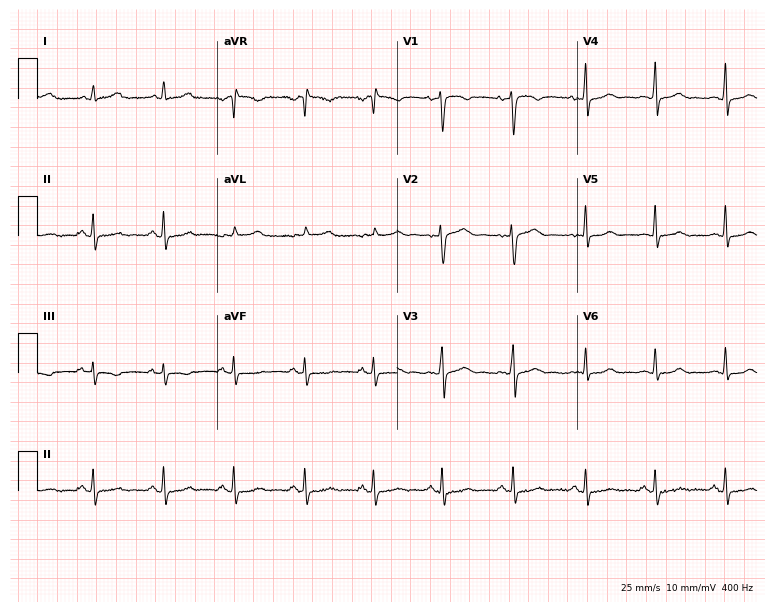
Resting 12-lead electrocardiogram (7.3-second recording at 400 Hz). Patient: a 34-year-old woman. None of these six findings is recorded: first-degree AV block, right bundle branch block, left bundle branch block, sinus bradycardia, atrial fibrillation, sinus tachycardia. Only these six findings were labelled.